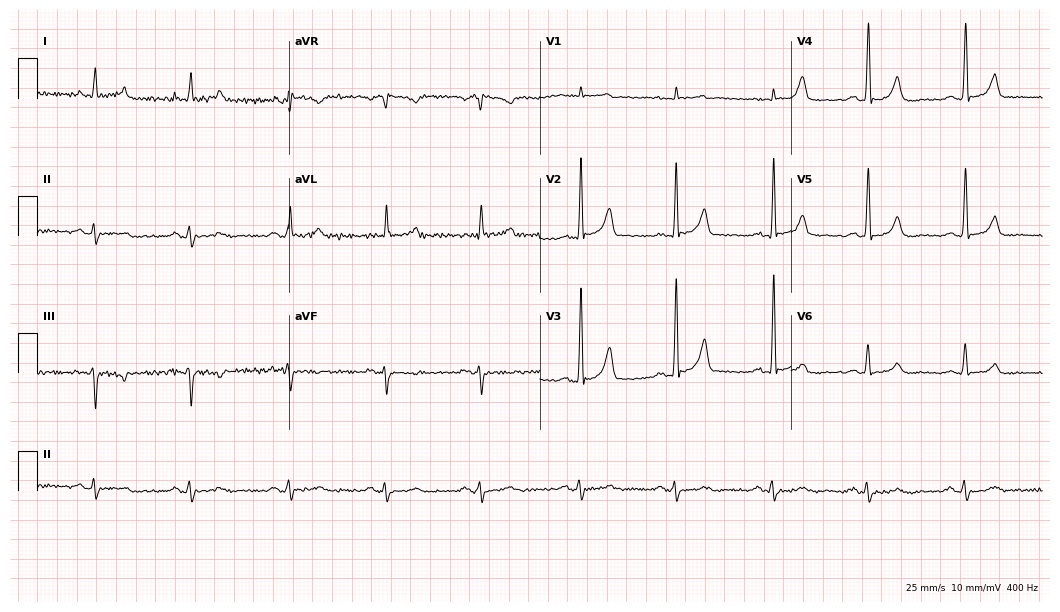
12-lead ECG from a 70-year-old man. Screened for six findings — first-degree AV block, right bundle branch block (RBBB), left bundle branch block (LBBB), sinus bradycardia, atrial fibrillation (AF), sinus tachycardia — none is recorded. Other findings, if any, are not listed.